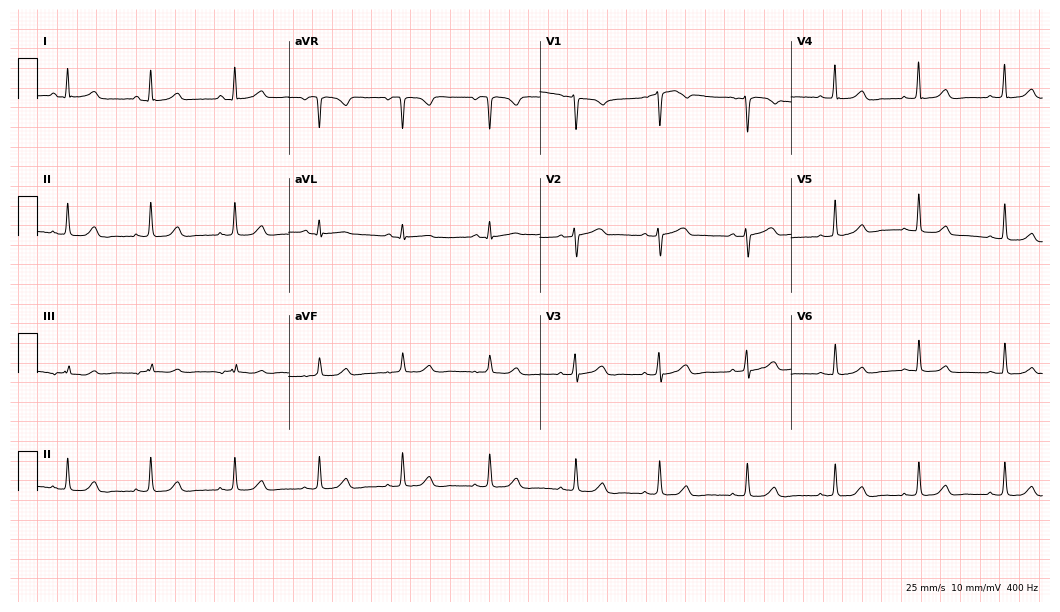
12-lead ECG from a woman, 36 years old (10.2-second recording at 400 Hz). Recorded interpretation: within normal limits.